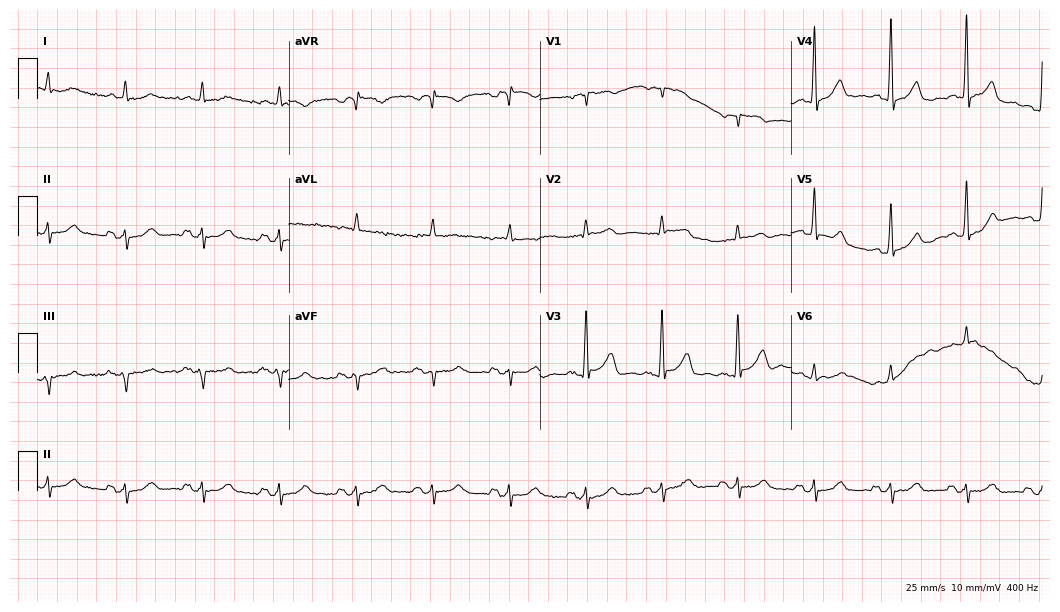
Standard 12-lead ECG recorded from a 69-year-old male. None of these six findings is recorded: first-degree AV block, right bundle branch block, left bundle branch block, sinus bradycardia, atrial fibrillation, sinus tachycardia.